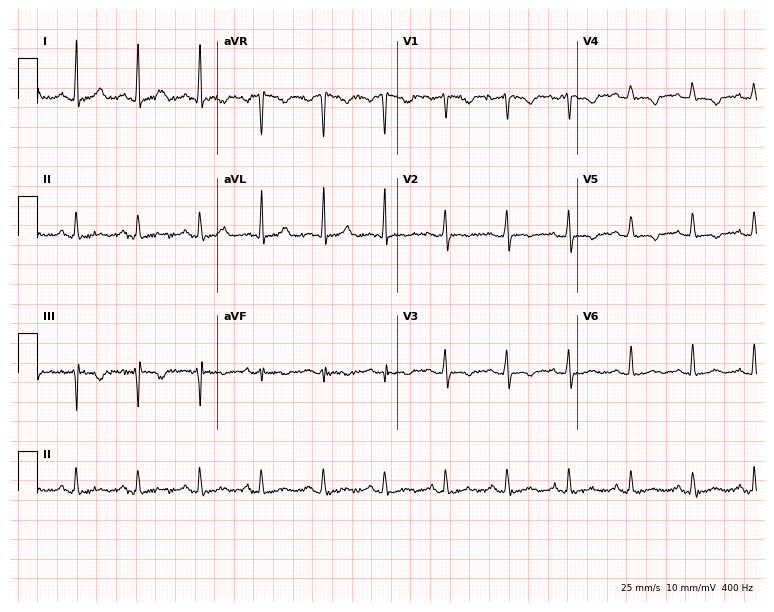
Standard 12-lead ECG recorded from a female, 31 years old. None of these six findings is recorded: first-degree AV block, right bundle branch block, left bundle branch block, sinus bradycardia, atrial fibrillation, sinus tachycardia. Other findings, if any, are not listed.